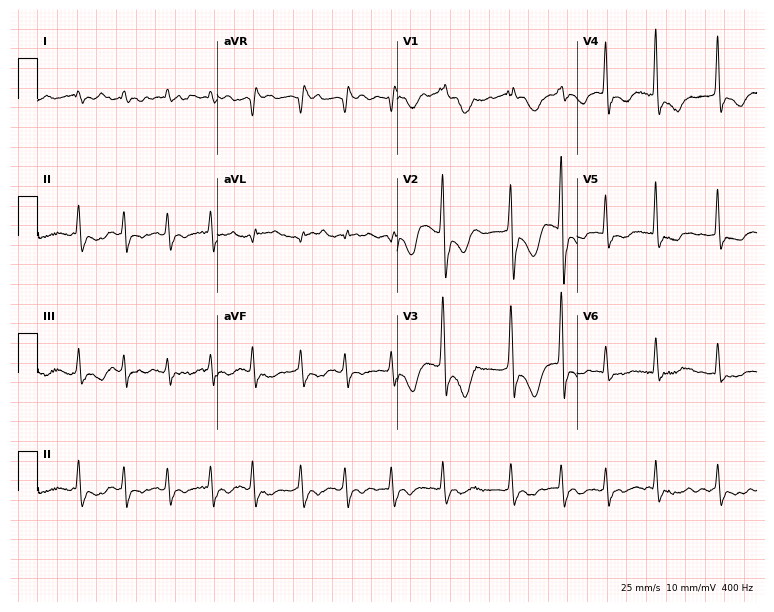
12-lead ECG from a female, 79 years old. Findings include left bundle branch block, atrial fibrillation.